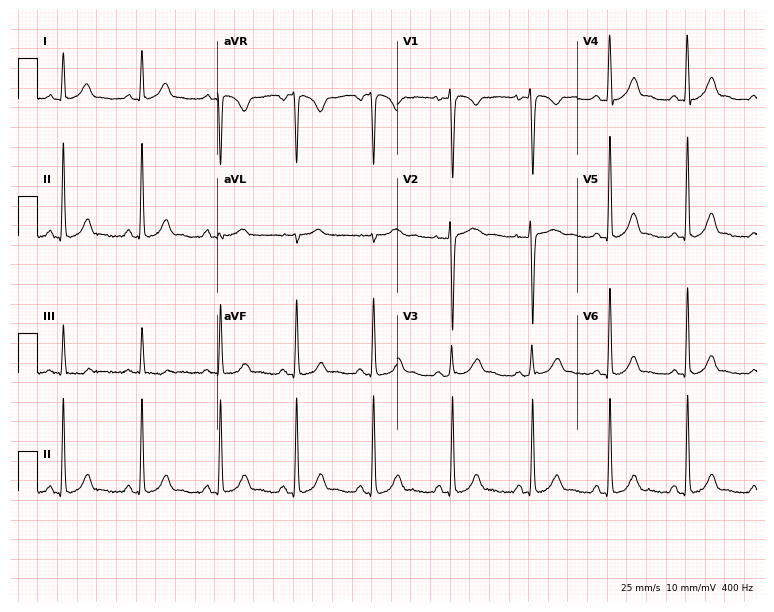
Resting 12-lead electrocardiogram (7.3-second recording at 400 Hz). Patient: a 45-year-old woman. Read as a normal ECG.